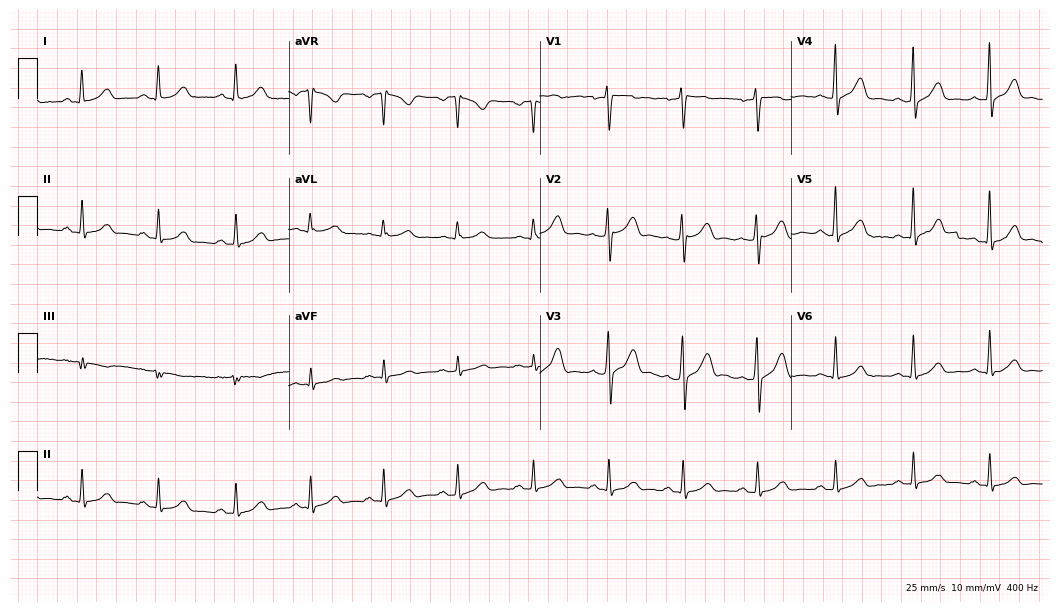
ECG — a 38-year-old male. Screened for six findings — first-degree AV block, right bundle branch block, left bundle branch block, sinus bradycardia, atrial fibrillation, sinus tachycardia — none is recorded.